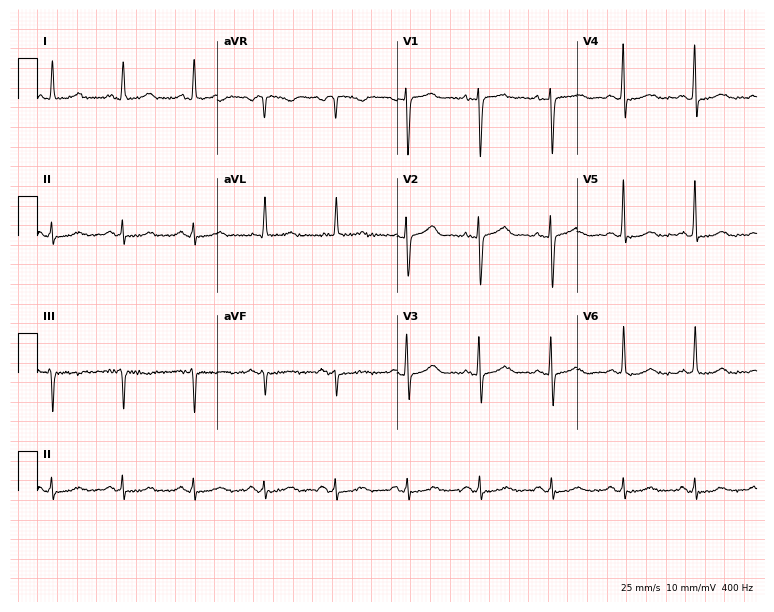
12-lead ECG from a 60-year-old female patient (7.3-second recording at 400 Hz). No first-degree AV block, right bundle branch block, left bundle branch block, sinus bradycardia, atrial fibrillation or sinus tachycardia recorded for this tracing. Findings outside these six are not listed.